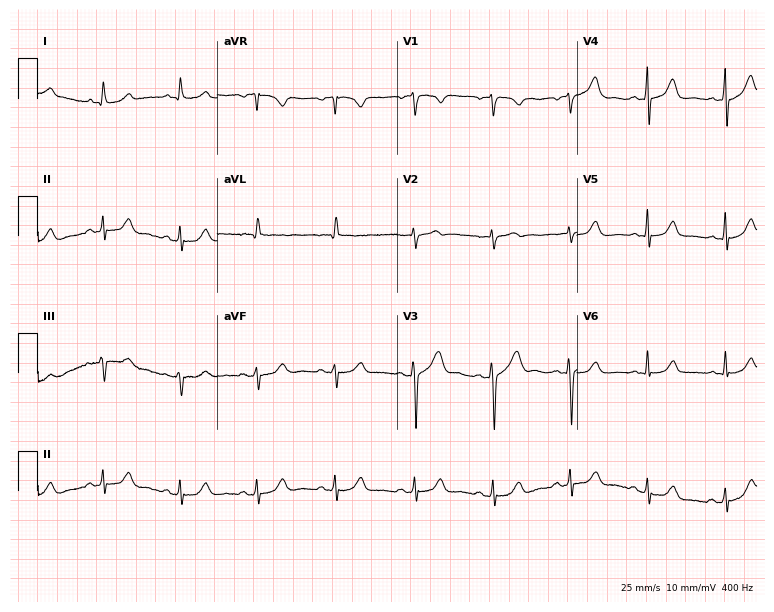
12-lead ECG (7.3-second recording at 400 Hz) from a 63-year-old woman. Labelled as a normal ECG.